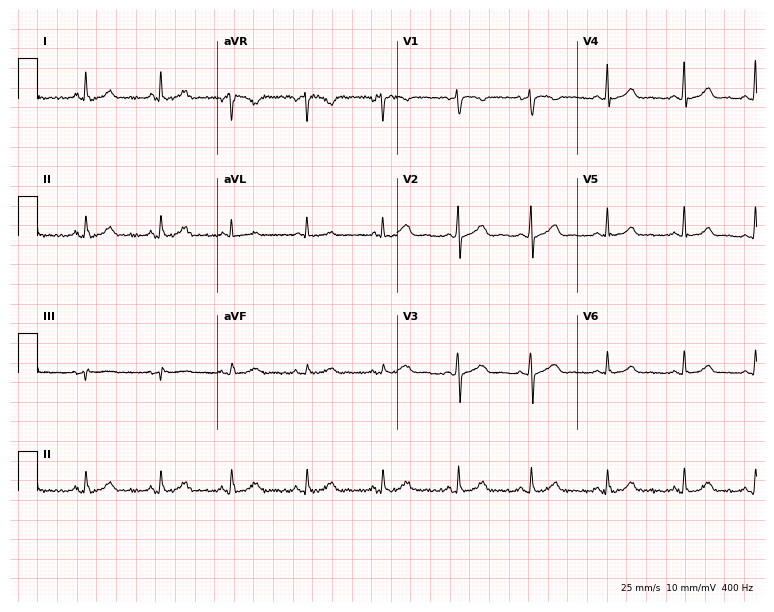
ECG — a female patient, 41 years old. Labelled as a normal ECG.